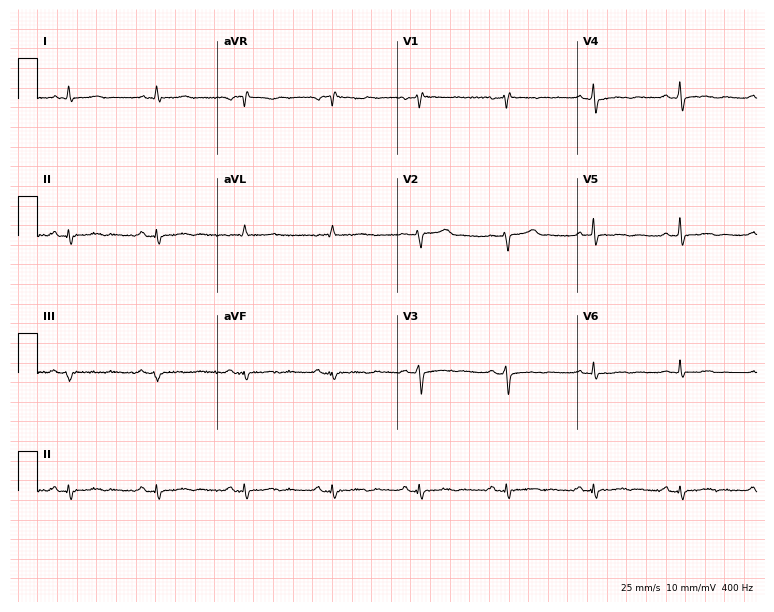
ECG — a 66-year-old woman. Screened for six findings — first-degree AV block, right bundle branch block, left bundle branch block, sinus bradycardia, atrial fibrillation, sinus tachycardia — none is recorded. Other findings, if any, are not listed.